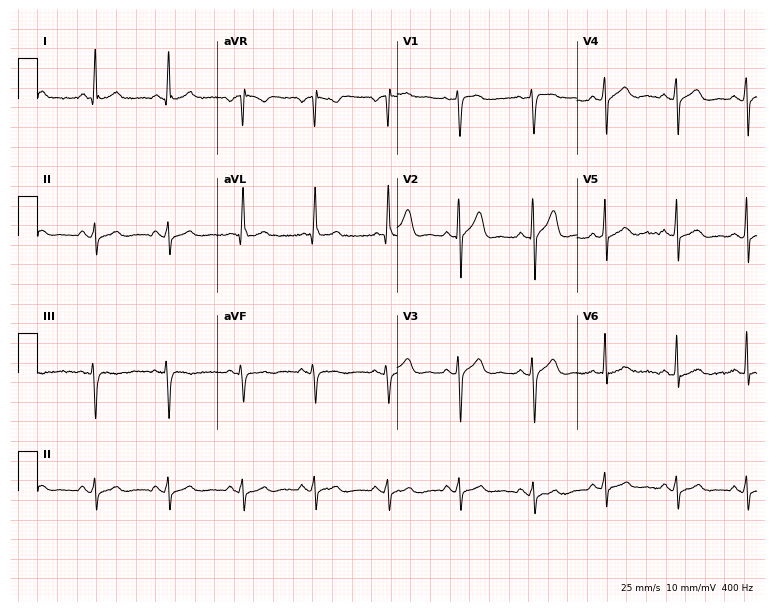
ECG (7.3-second recording at 400 Hz) — a 34-year-old male. Screened for six findings — first-degree AV block, right bundle branch block, left bundle branch block, sinus bradycardia, atrial fibrillation, sinus tachycardia — none is recorded. Other findings, if any, are not listed.